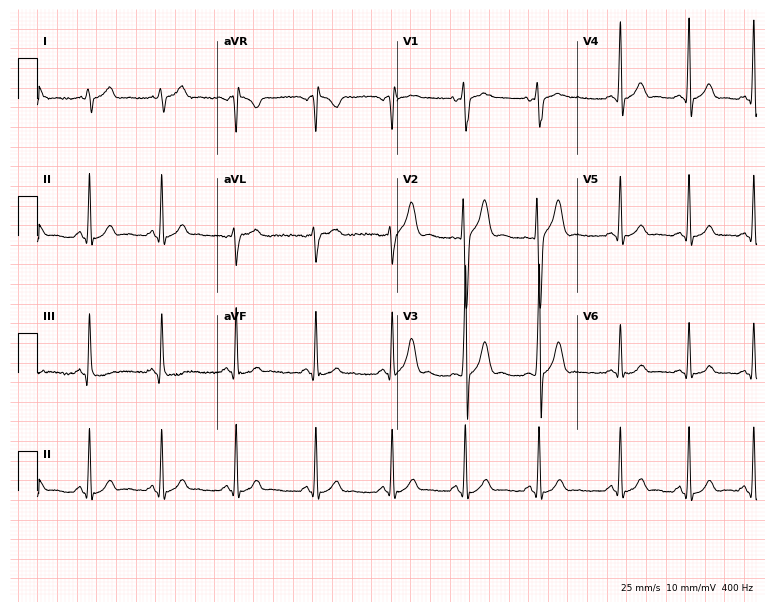
ECG (7.3-second recording at 400 Hz) — a male patient, 25 years old. Labelled as a normal ECG.